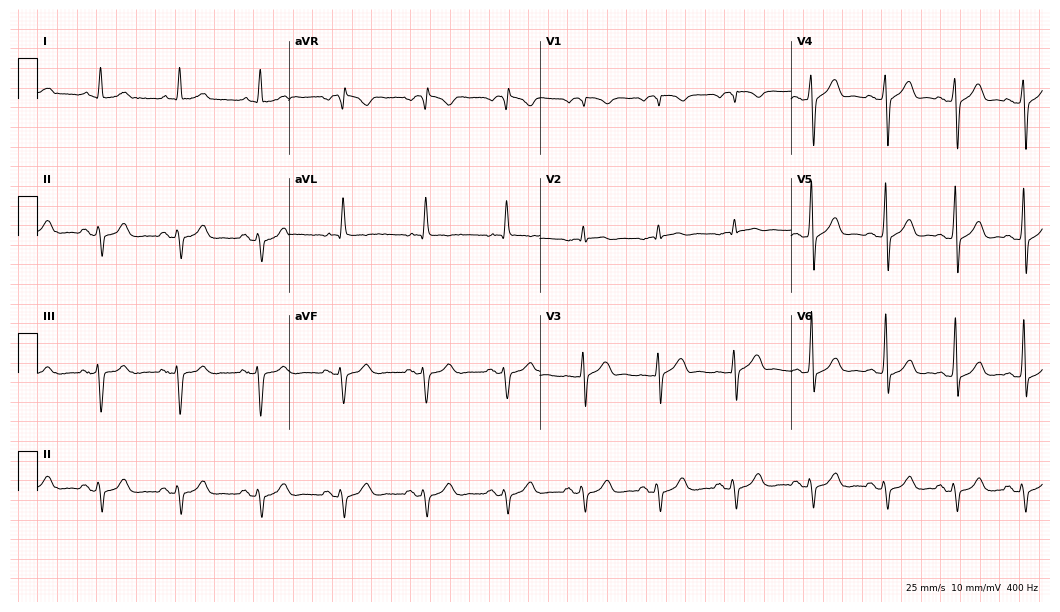
ECG — a male, 68 years old. Screened for six findings — first-degree AV block, right bundle branch block (RBBB), left bundle branch block (LBBB), sinus bradycardia, atrial fibrillation (AF), sinus tachycardia — none is recorded.